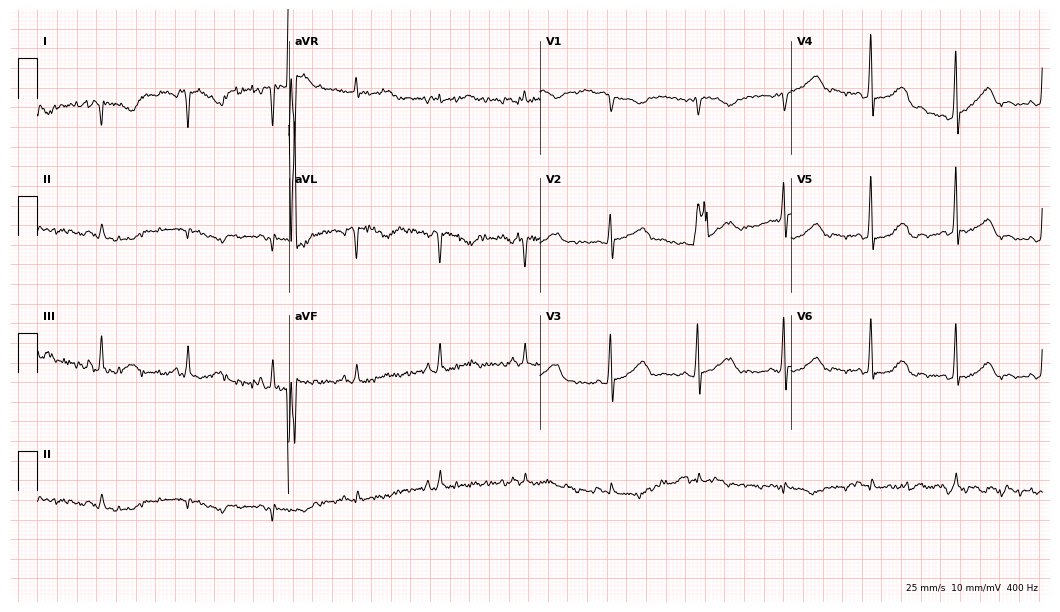
ECG — a woman, 57 years old. Screened for six findings — first-degree AV block, right bundle branch block, left bundle branch block, sinus bradycardia, atrial fibrillation, sinus tachycardia — none is recorded. Only these six findings were labelled.